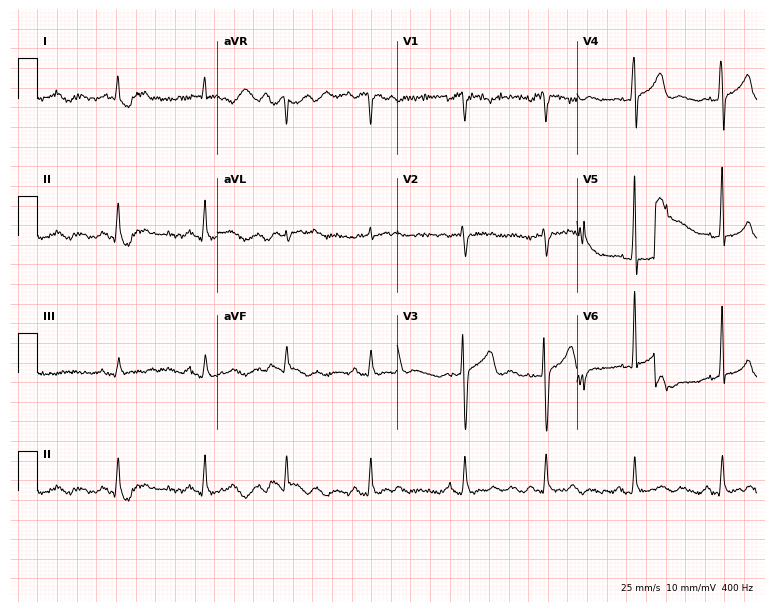
ECG (7.3-second recording at 400 Hz) — a 72-year-old male. Screened for six findings — first-degree AV block, right bundle branch block, left bundle branch block, sinus bradycardia, atrial fibrillation, sinus tachycardia — none is recorded.